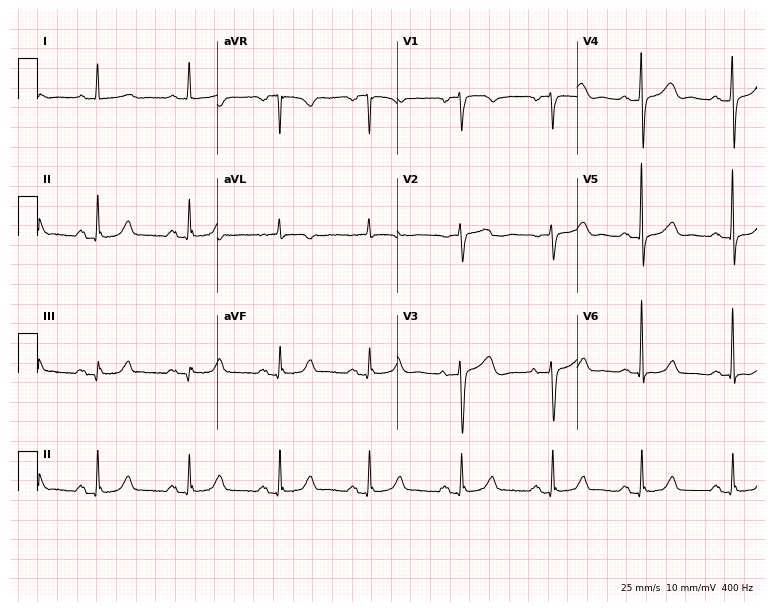
ECG — a 71-year-old woman. Screened for six findings — first-degree AV block, right bundle branch block (RBBB), left bundle branch block (LBBB), sinus bradycardia, atrial fibrillation (AF), sinus tachycardia — none is recorded. Findings outside these six are not listed.